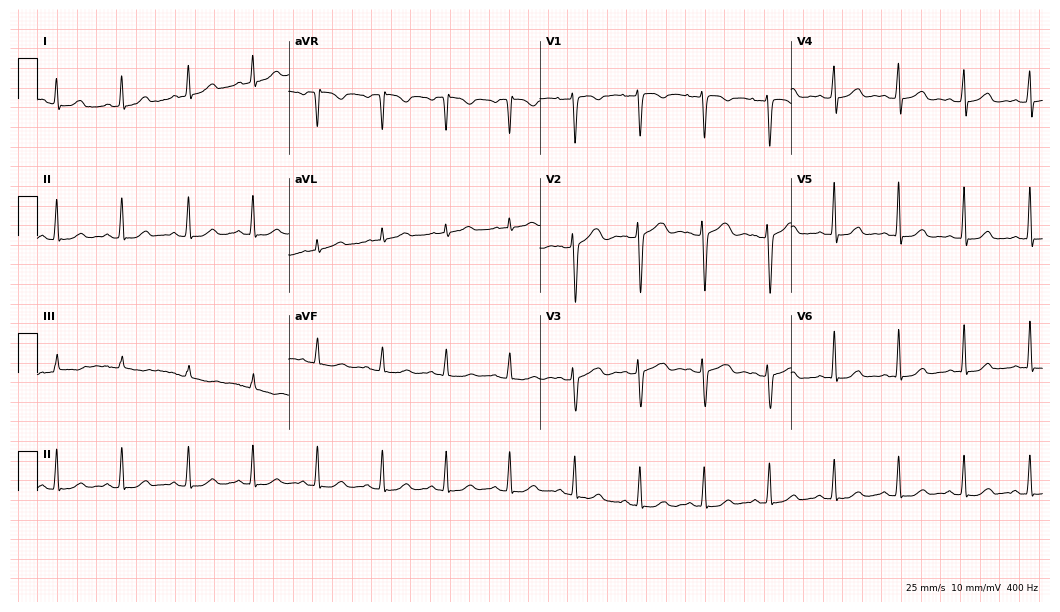
ECG — a female patient, 46 years old. Screened for six findings — first-degree AV block, right bundle branch block, left bundle branch block, sinus bradycardia, atrial fibrillation, sinus tachycardia — none is recorded.